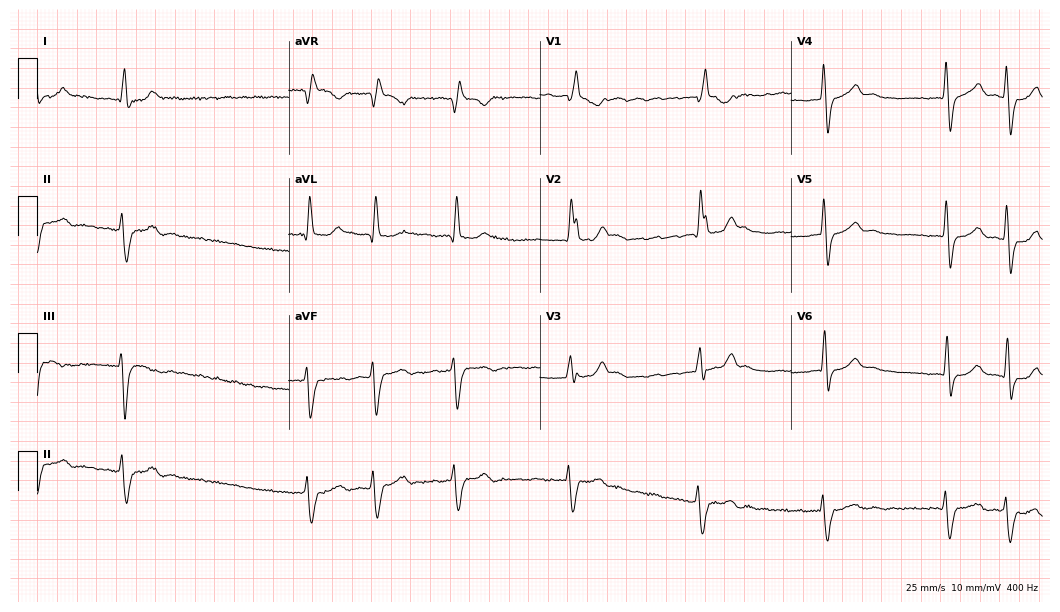
12-lead ECG from a female patient, 65 years old. Shows right bundle branch block, atrial fibrillation.